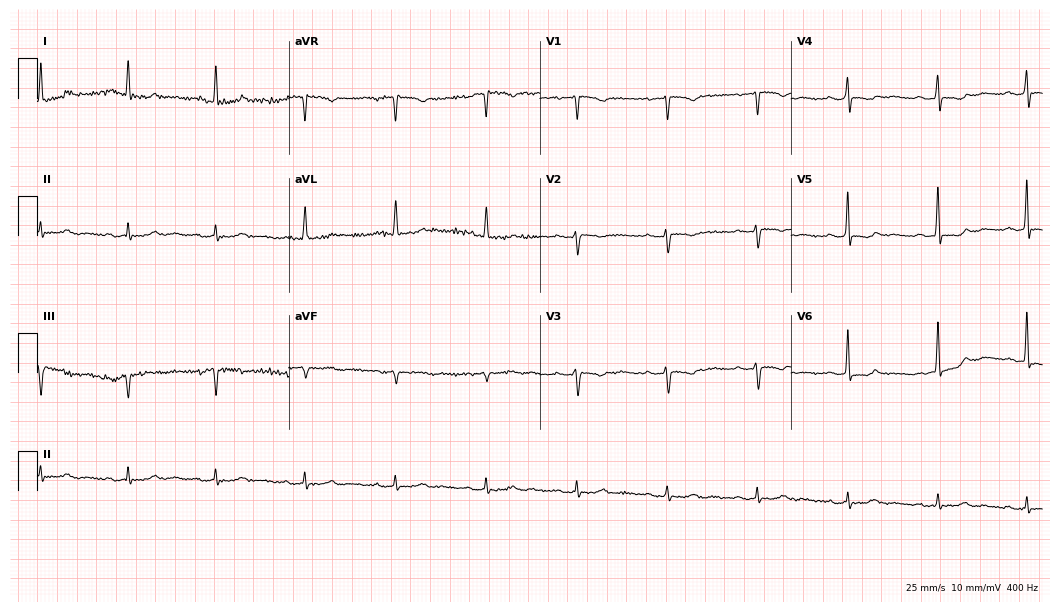
Resting 12-lead electrocardiogram (10.2-second recording at 400 Hz). Patient: a 60-year-old woman. None of these six findings is recorded: first-degree AV block, right bundle branch block, left bundle branch block, sinus bradycardia, atrial fibrillation, sinus tachycardia.